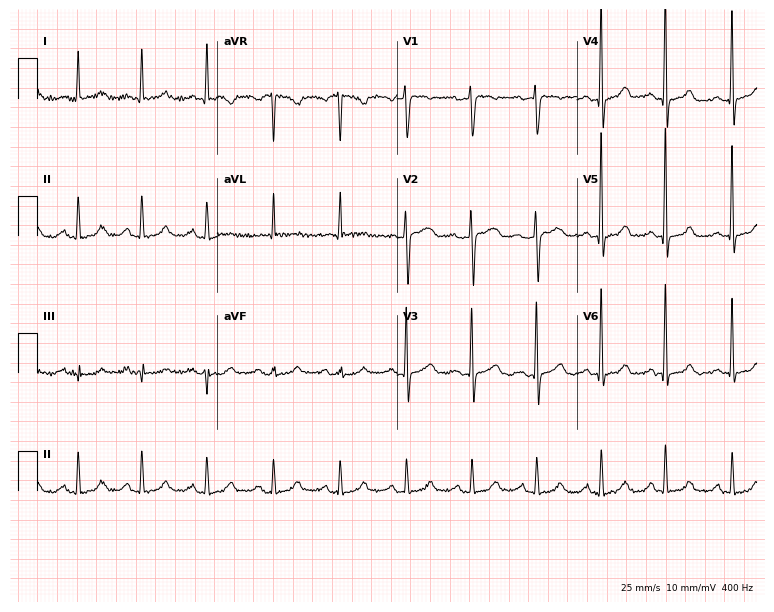
Electrocardiogram (7.3-second recording at 400 Hz), a 56-year-old female patient. Overall reading on record: normal ECG.